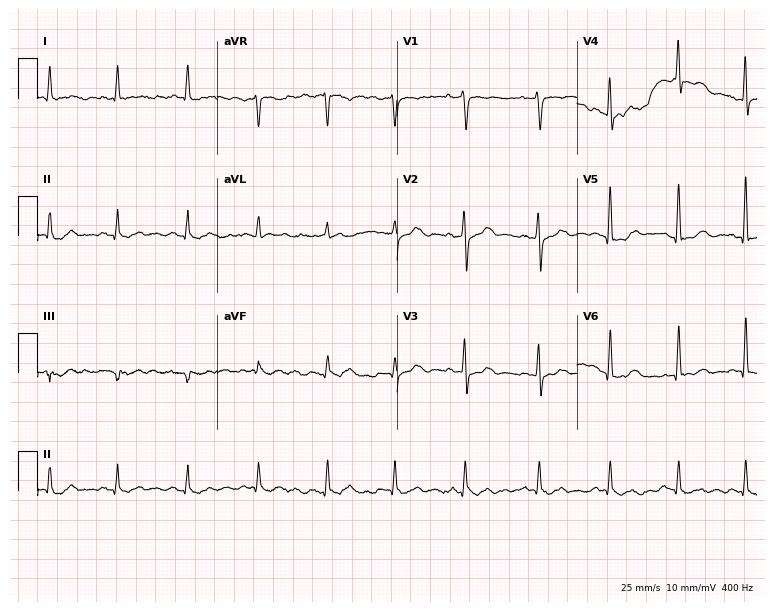
12-lead ECG from a 70-year-old man (7.3-second recording at 400 Hz). No first-degree AV block, right bundle branch block, left bundle branch block, sinus bradycardia, atrial fibrillation or sinus tachycardia recorded for this tracing.